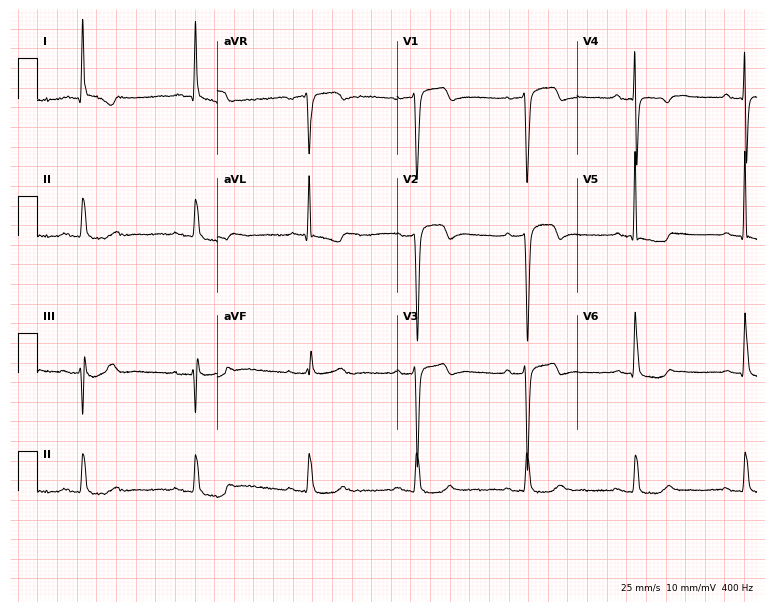
12-lead ECG from a man, 80 years old. Screened for six findings — first-degree AV block, right bundle branch block (RBBB), left bundle branch block (LBBB), sinus bradycardia, atrial fibrillation (AF), sinus tachycardia — none is recorded.